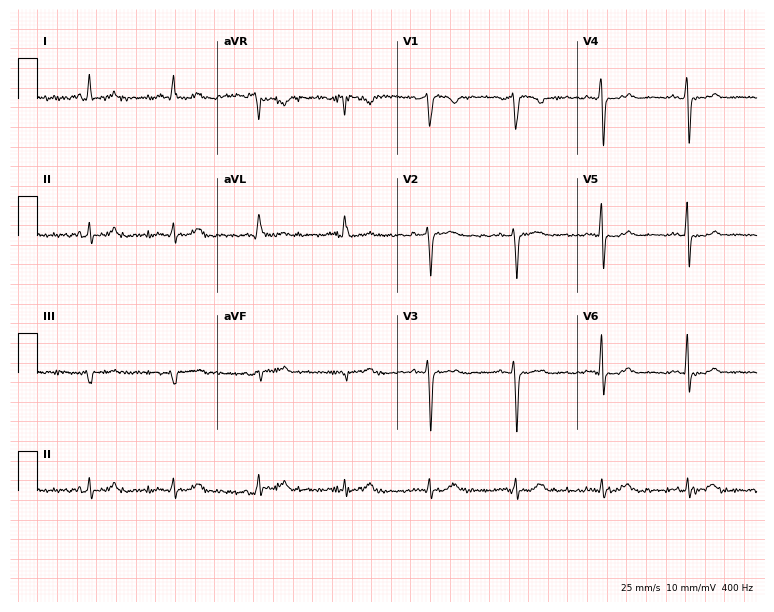
Resting 12-lead electrocardiogram (7.3-second recording at 400 Hz). Patient: a 58-year-old male. Read as a normal ECG.